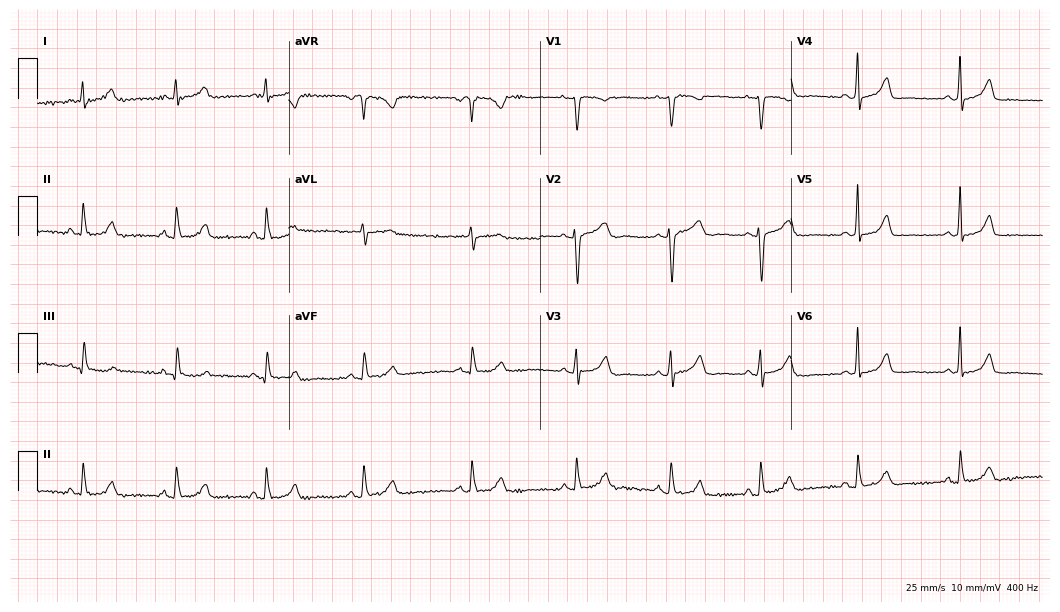
12-lead ECG from a female, 41 years old. Recorded interpretation: within normal limits.